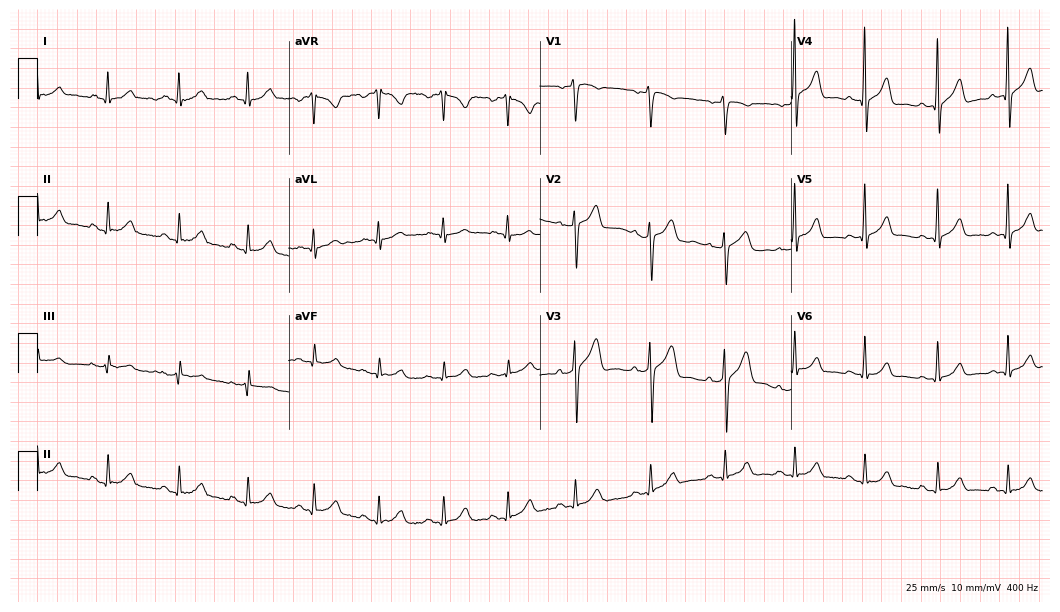
Electrocardiogram (10.2-second recording at 400 Hz), a 46-year-old man. Overall reading on record: normal ECG.